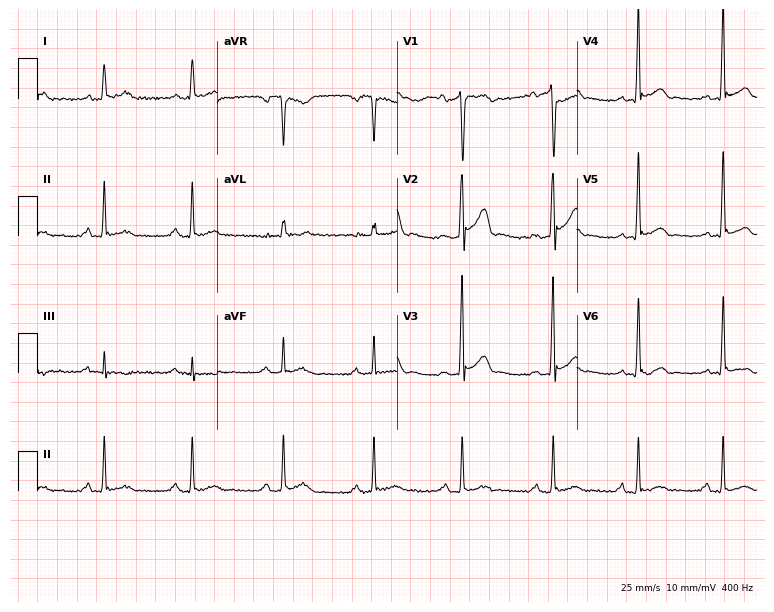
Resting 12-lead electrocardiogram. Patient: a man, 25 years old. None of these six findings is recorded: first-degree AV block, right bundle branch block, left bundle branch block, sinus bradycardia, atrial fibrillation, sinus tachycardia.